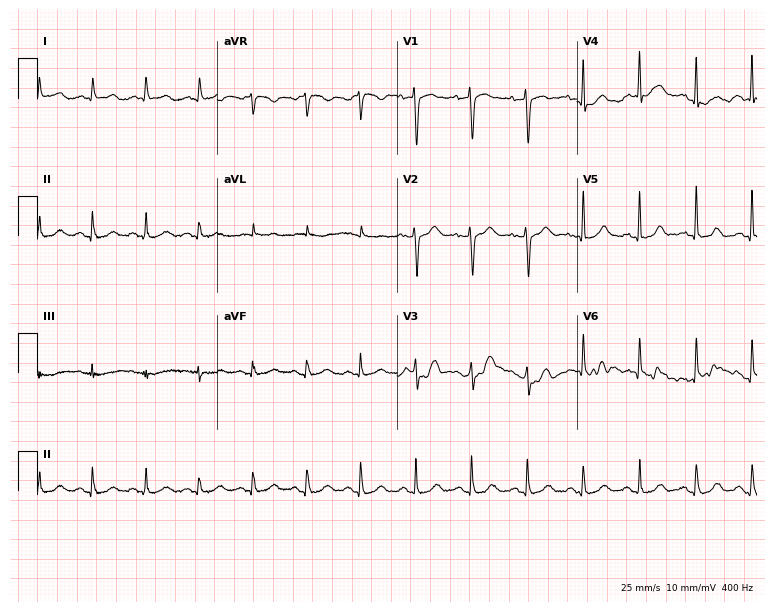
Electrocardiogram, a female, 82 years old. Interpretation includes sinus tachycardia (a sinus rate of 100 beats per minute or more).